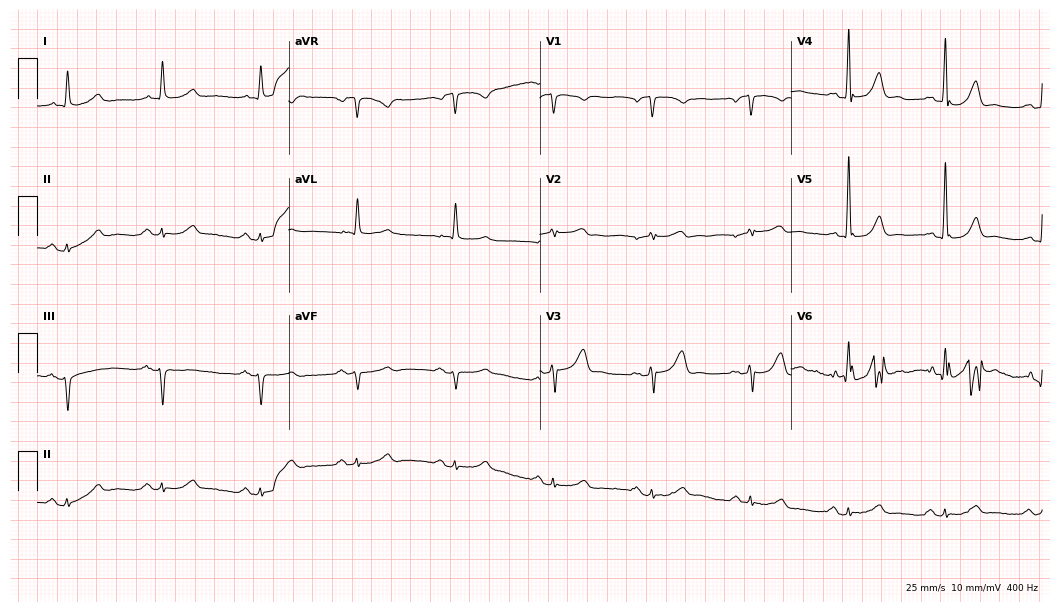
12-lead ECG (10.2-second recording at 400 Hz) from a 77-year-old man. Labelled as a normal ECG.